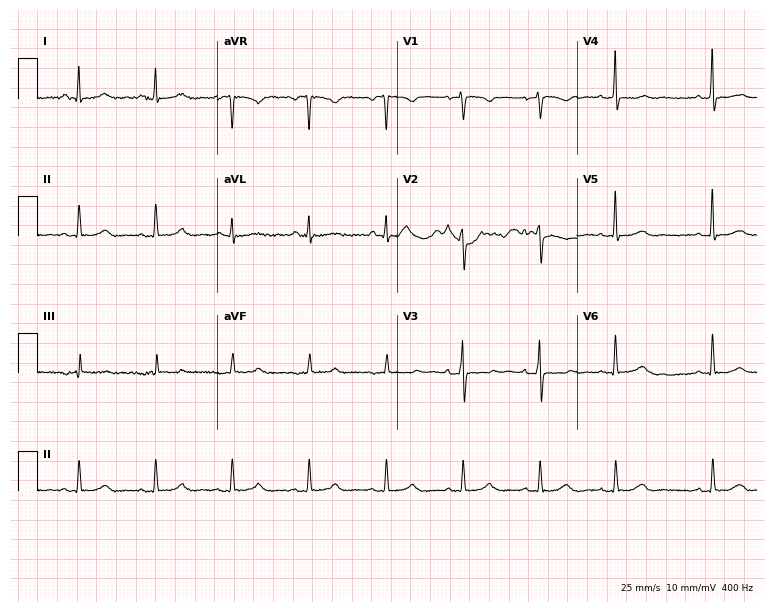
Electrocardiogram, a 52-year-old female patient. Of the six screened findings (first-degree AV block, right bundle branch block, left bundle branch block, sinus bradycardia, atrial fibrillation, sinus tachycardia), none is recorded.